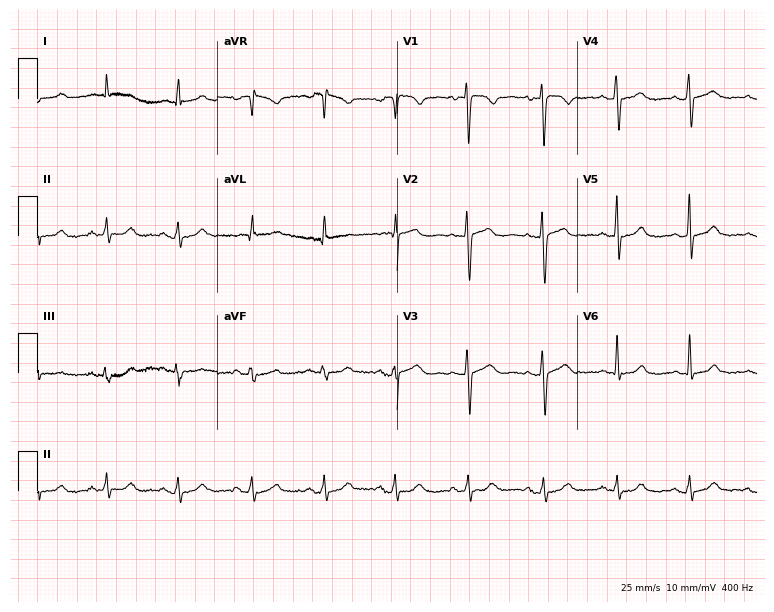
Resting 12-lead electrocardiogram (7.3-second recording at 400 Hz). Patient: a 45-year-old woman. None of these six findings is recorded: first-degree AV block, right bundle branch block, left bundle branch block, sinus bradycardia, atrial fibrillation, sinus tachycardia.